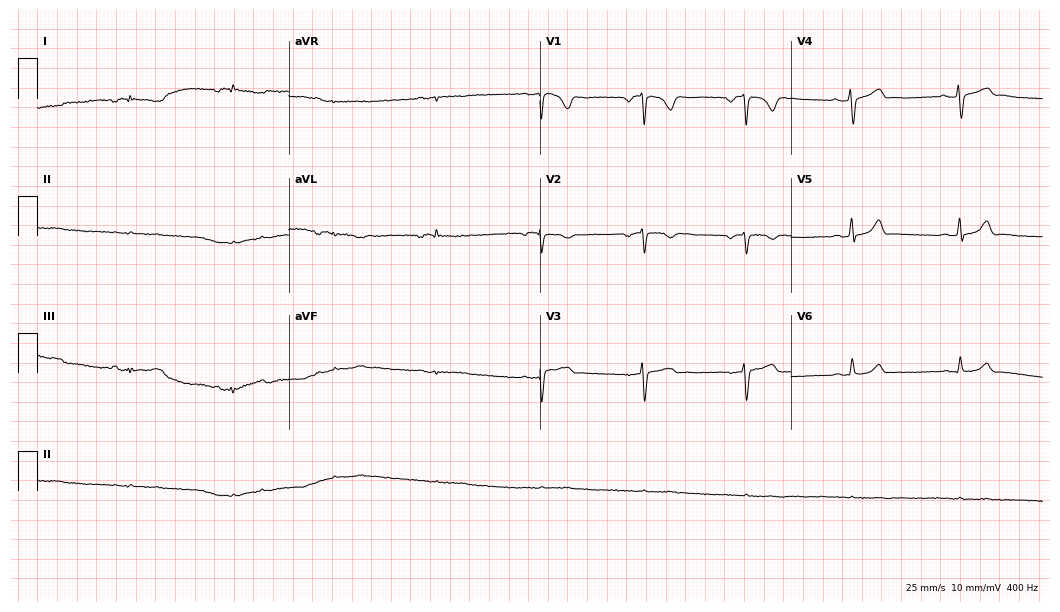
Standard 12-lead ECG recorded from a female patient, 58 years old. None of these six findings is recorded: first-degree AV block, right bundle branch block (RBBB), left bundle branch block (LBBB), sinus bradycardia, atrial fibrillation (AF), sinus tachycardia.